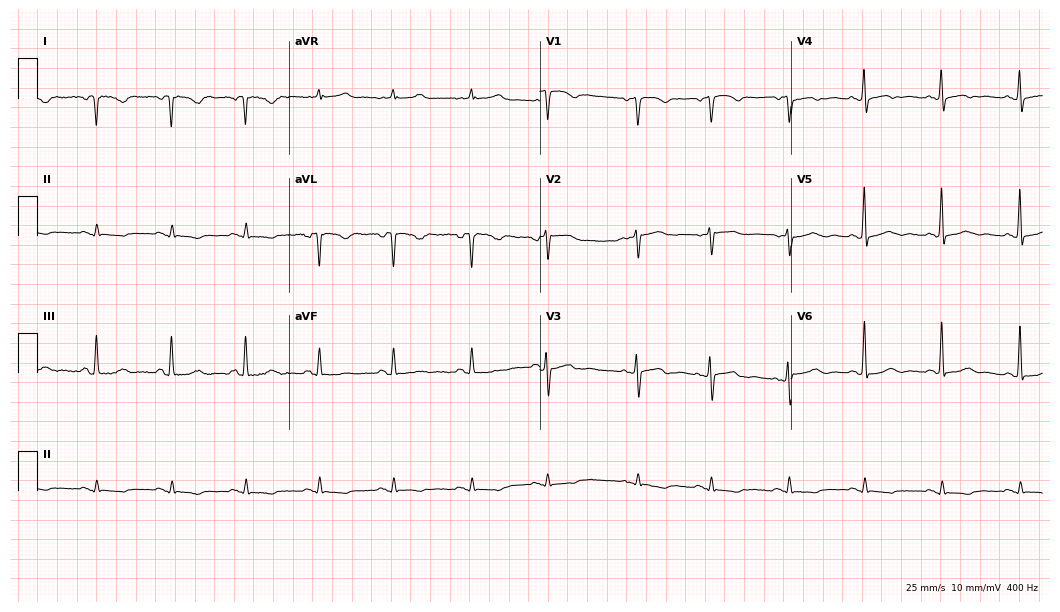
Resting 12-lead electrocardiogram. Patient: a 52-year-old woman. None of these six findings is recorded: first-degree AV block, right bundle branch block, left bundle branch block, sinus bradycardia, atrial fibrillation, sinus tachycardia.